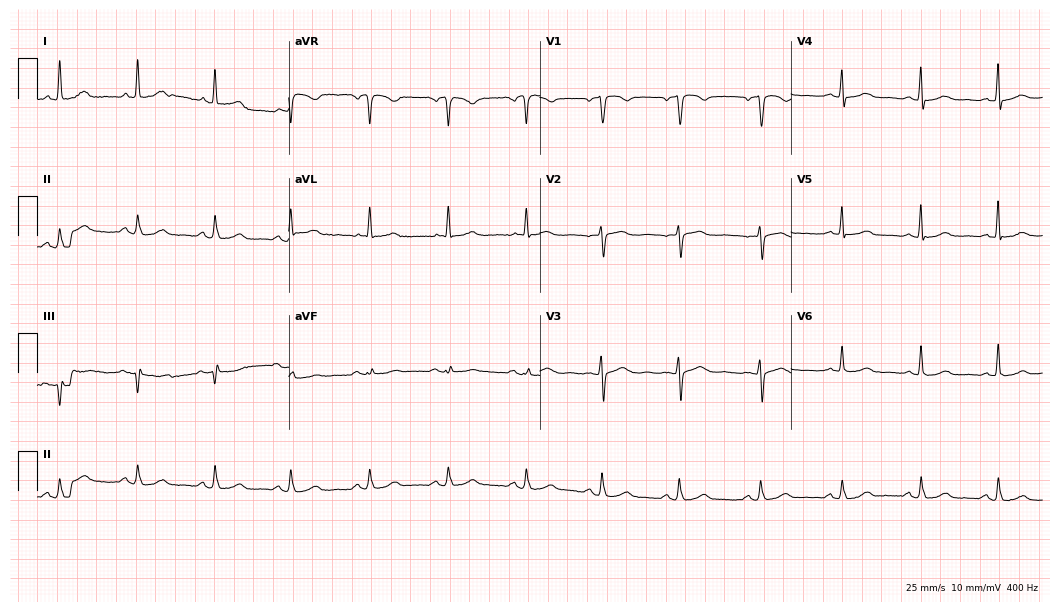
Electrocardiogram, a woman, 66 years old. Overall reading on record: normal ECG.